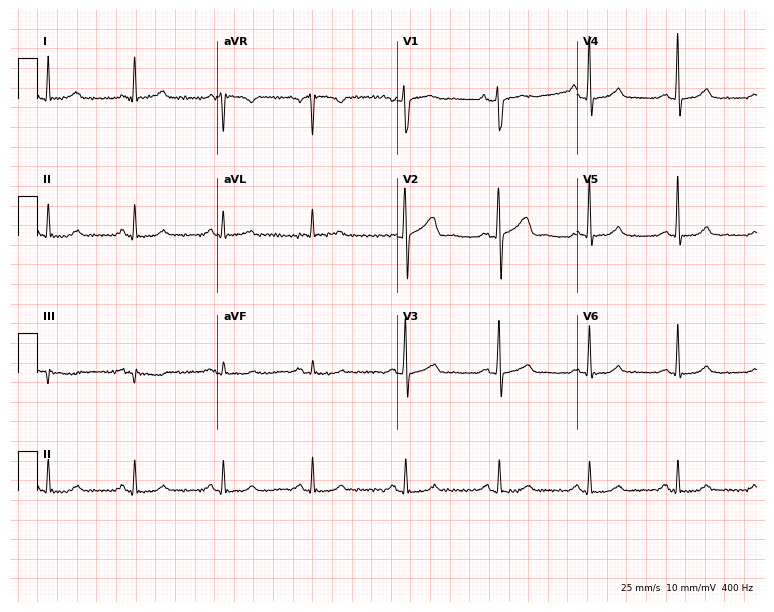
Standard 12-lead ECG recorded from a 62-year-old male patient (7.3-second recording at 400 Hz). Read as a normal ECG.